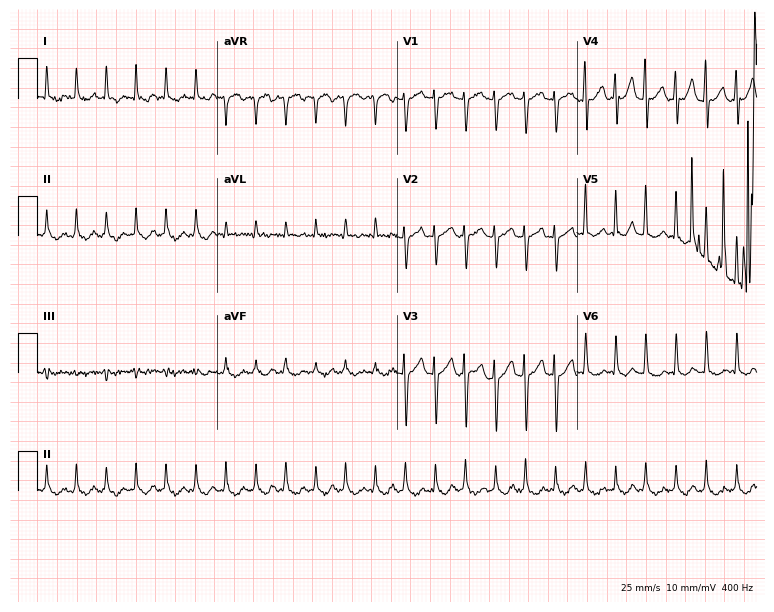
Standard 12-lead ECG recorded from a female, 47 years old (7.3-second recording at 400 Hz). The tracing shows sinus tachycardia (a sinus rate of 100 beats per minute or more).